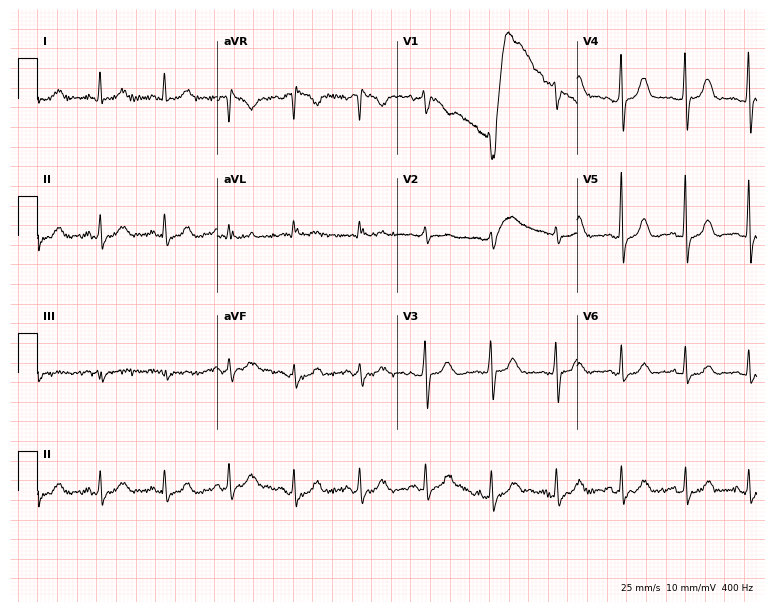
Electrocardiogram, a 64-year-old woman. Of the six screened findings (first-degree AV block, right bundle branch block, left bundle branch block, sinus bradycardia, atrial fibrillation, sinus tachycardia), none is recorded. Only these six findings were labelled.